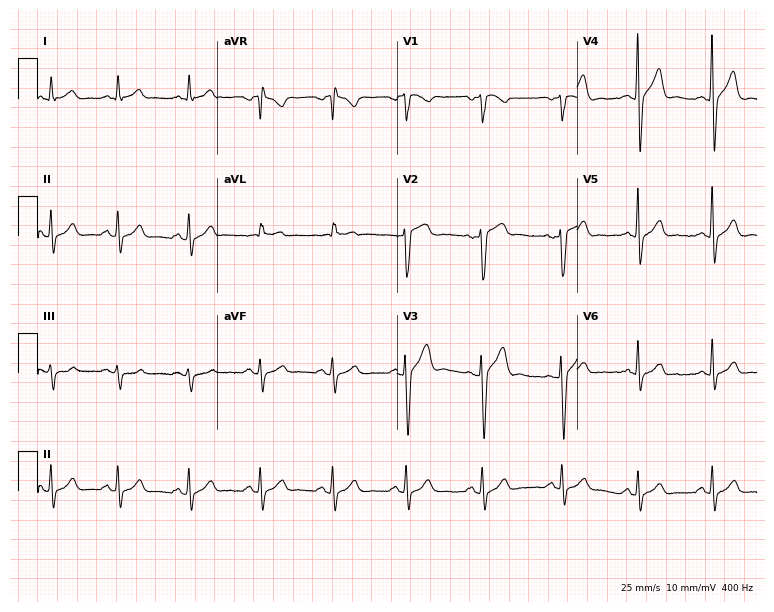
12-lead ECG (7.3-second recording at 400 Hz) from a man, 39 years old. Screened for six findings — first-degree AV block, right bundle branch block, left bundle branch block, sinus bradycardia, atrial fibrillation, sinus tachycardia — none is recorded. Other findings, if any, are not listed.